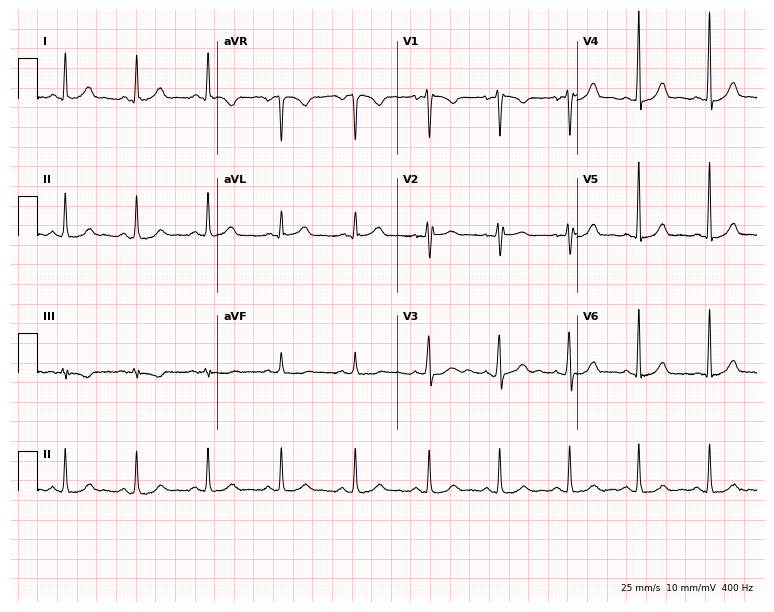
Resting 12-lead electrocardiogram. Patient: a 29-year-old female. Read as a normal ECG.